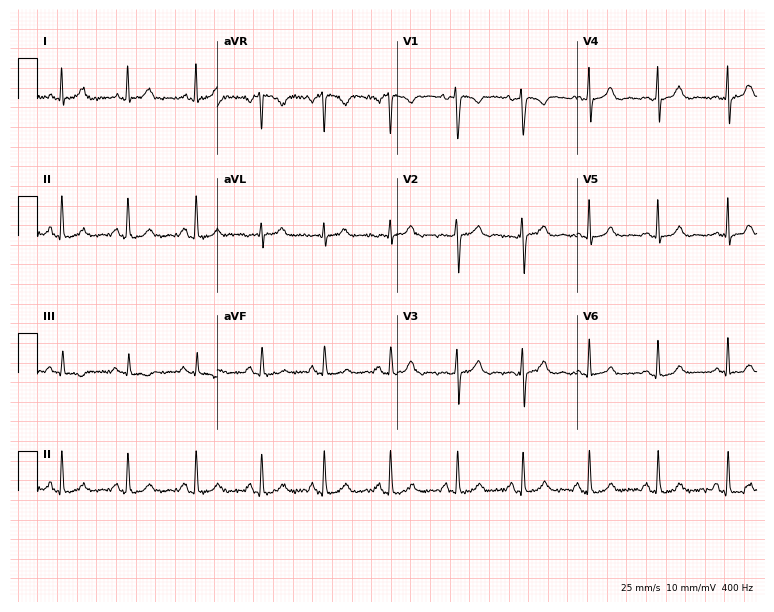
ECG — a 22-year-old female. Screened for six findings — first-degree AV block, right bundle branch block, left bundle branch block, sinus bradycardia, atrial fibrillation, sinus tachycardia — none is recorded.